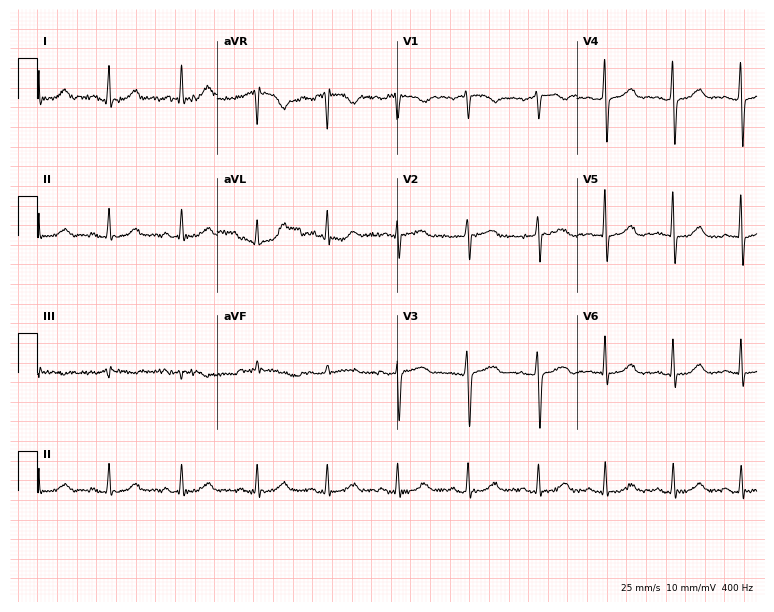
12-lead ECG from a 63-year-old woman. No first-degree AV block, right bundle branch block, left bundle branch block, sinus bradycardia, atrial fibrillation or sinus tachycardia recorded for this tracing.